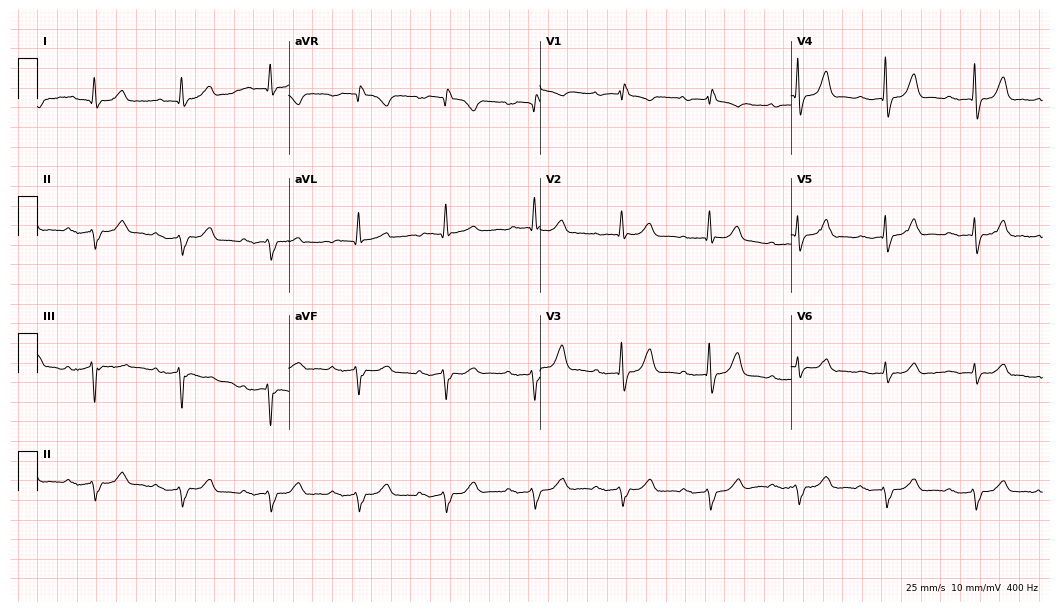
ECG (10.2-second recording at 400 Hz) — a woman, 81 years old. Screened for six findings — first-degree AV block, right bundle branch block (RBBB), left bundle branch block (LBBB), sinus bradycardia, atrial fibrillation (AF), sinus tachycardia — none is recorded.